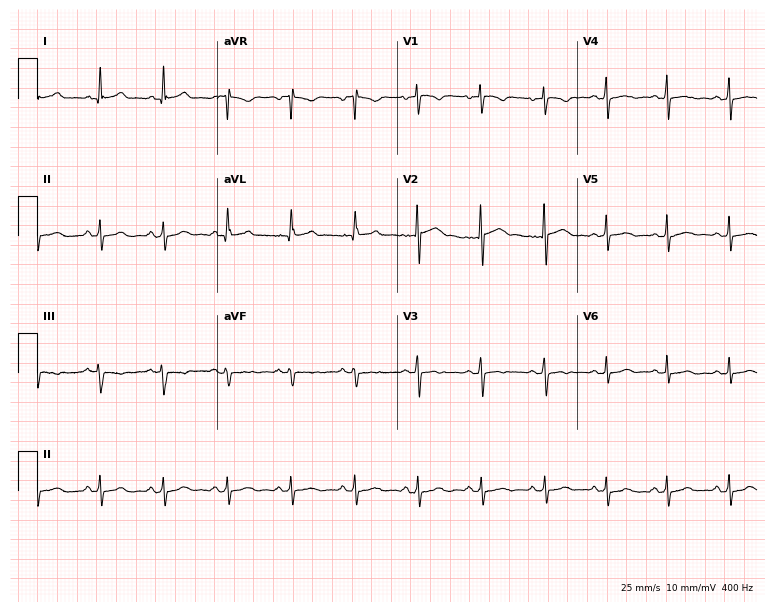
Resting 12-lead electrocardiogram. Patient: a 31-year-old female. None of these six findings is recorded: first-degree AV block, right bundle branch block, left bundle branch block, sinus bradycardia, atrial fibrillation, sinus tachycardia.